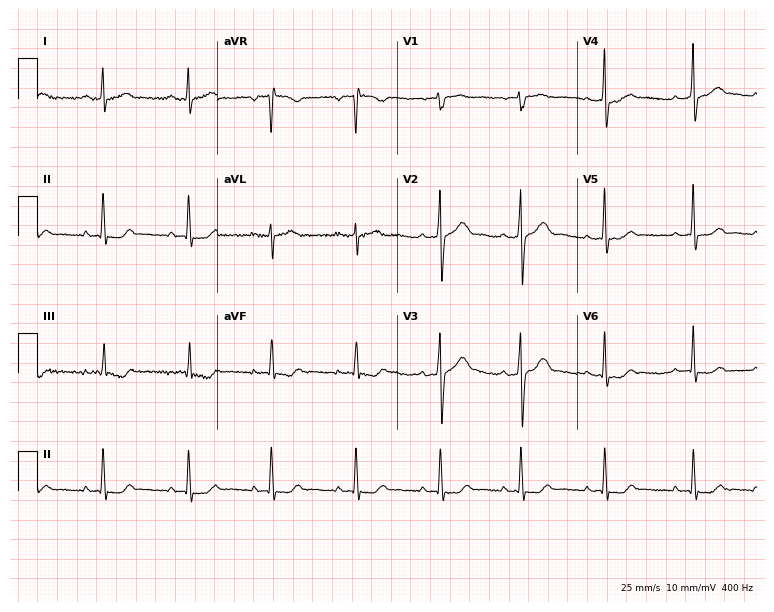
ECG (7.3-second recording at 400 Hz) — a female, 20 years old. Screened for six findings — first-degree AV block, right bundle branch block, left bundle branch block, sinus bradycardia, atrial fibrillation, sinus tachycardia — none is recorded. Other findings, if any, are not listed.